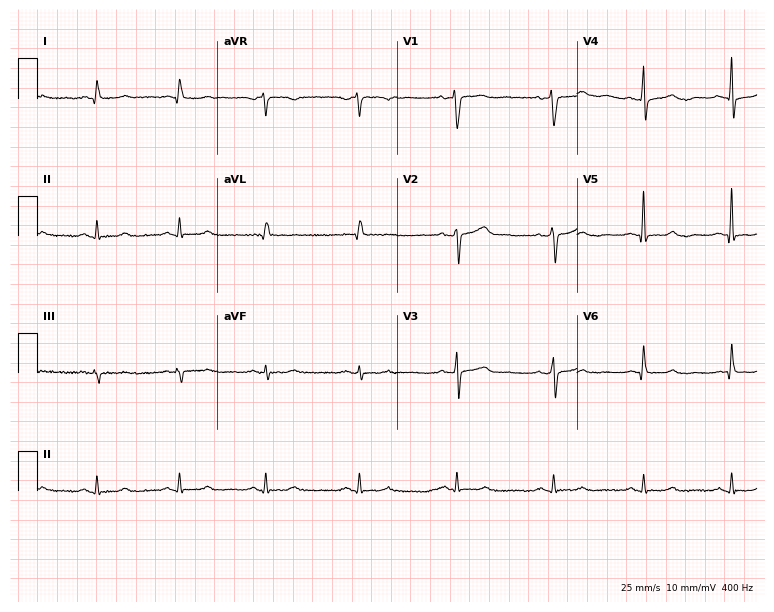
12-lead ECG from a 59-year-old female (7.3-second recording at 400 Hz). No first-degree AV block, right bundle branch block, left bundle branch block, sinus bradycardia, atrial fibrillation or sinus tachycardia recorded for this tracing. Only these six findings were labelled.